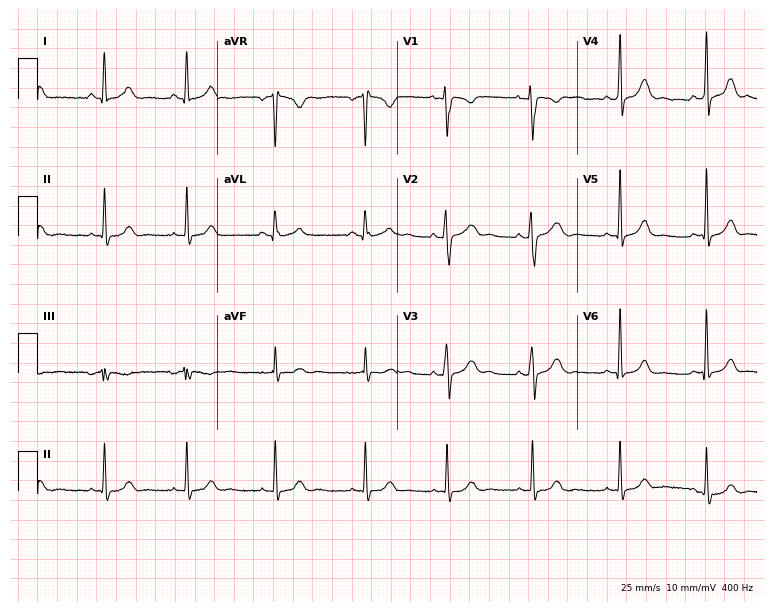
Standard 12-lead ECG recorded from a 23-year-old female (7.3-second recording at 400 Hz). None of these six findings is recorded: first-degree AV block, right bundle branch block (RBBB), left bundle branch block (LBBB), sinus bradycardia, atrial fibrillation (AF), sinus tachycardia.